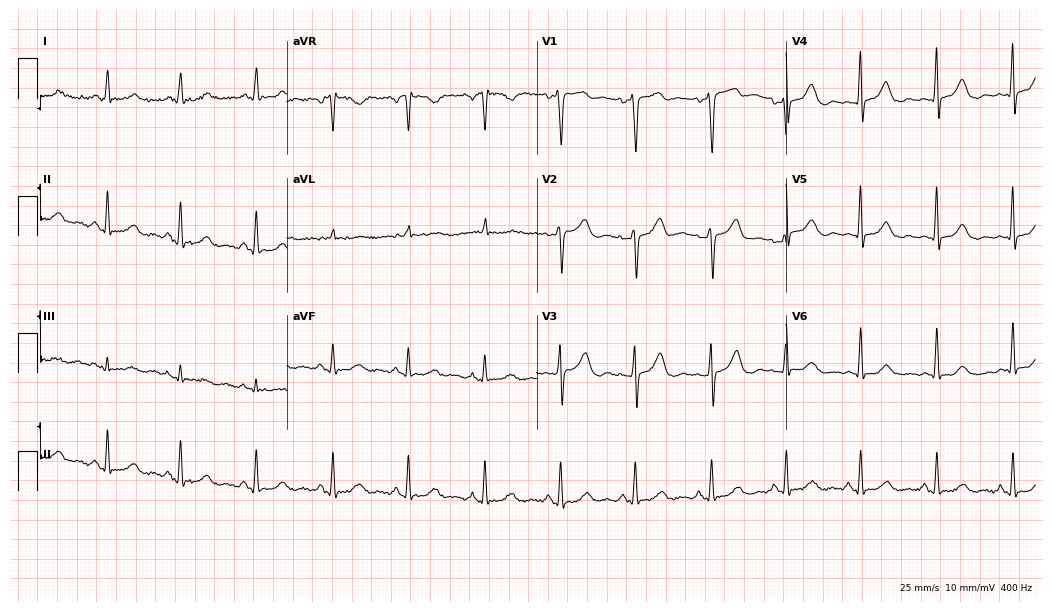
Standard 12-lead ECG recorded from a woman, 41 years old. Read as a normal ECG.